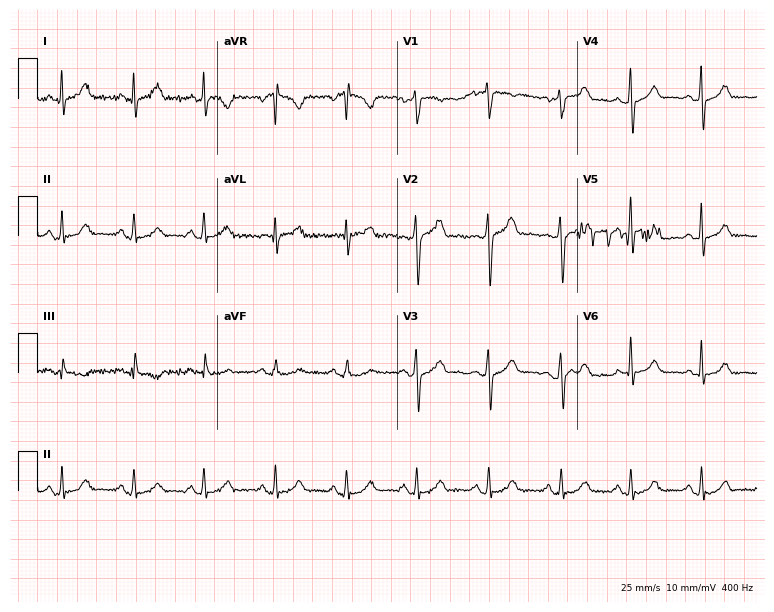
12-lead ECG from a female, 44 years old. Labelled as a normal ECG.